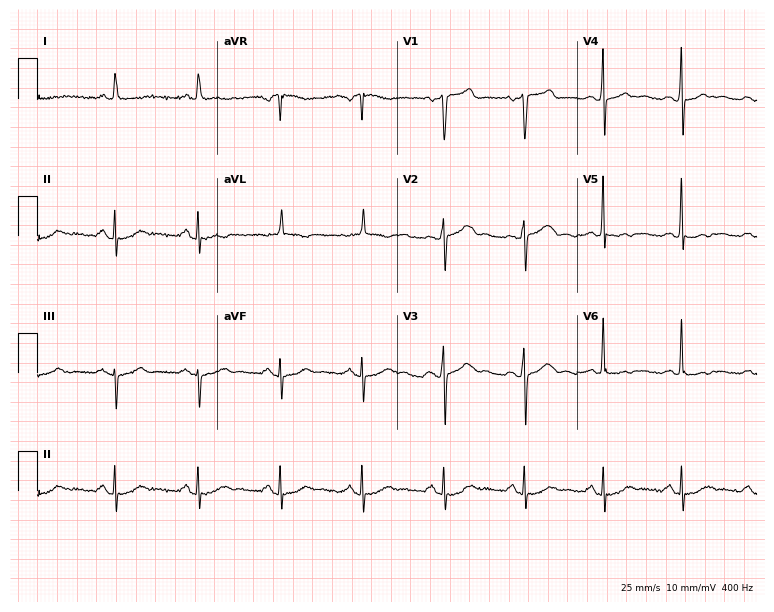
Resting 12-lead electrocardiogram (7.3-second recording at 400 Hz). Patient: a 68-year-old male. None of these six findings is recorded: first-degree AV block, right bundle branch block, left bundle branch block, sinus bradycardia, atrial fibrillation, sinus tachycardia. Only these six findings were labelled.